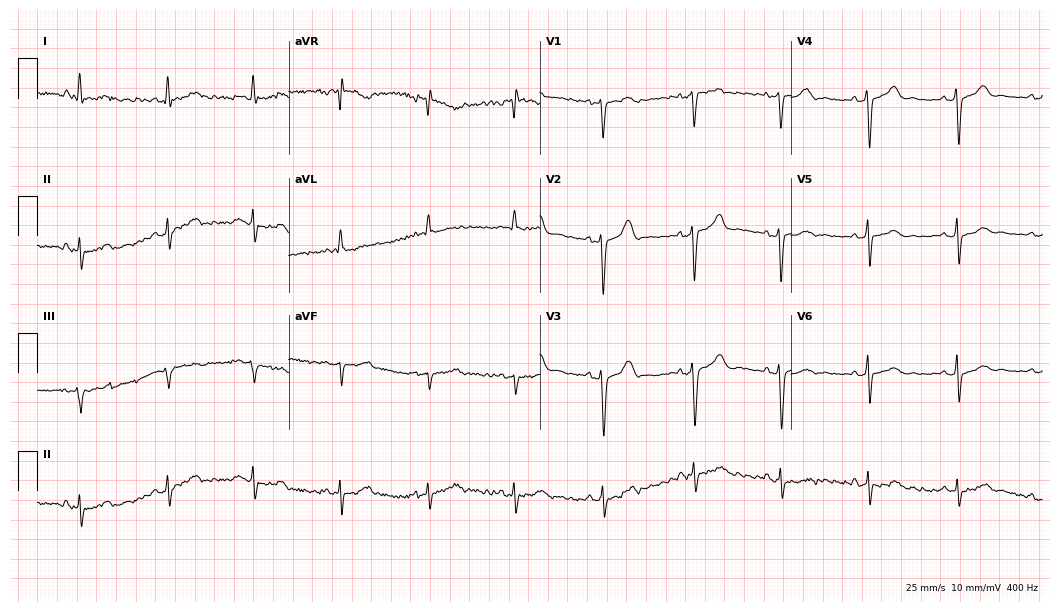
ECG — a male, 34 years old. Screened for six findings — first-degree AV block, right bundle branch block (RBBB), left bundle branch block (LBBB), sinus bradycardia, atrial fibrillation (AF), sinus tachycardia — none is recorded. Other findings, if any, are not listed.